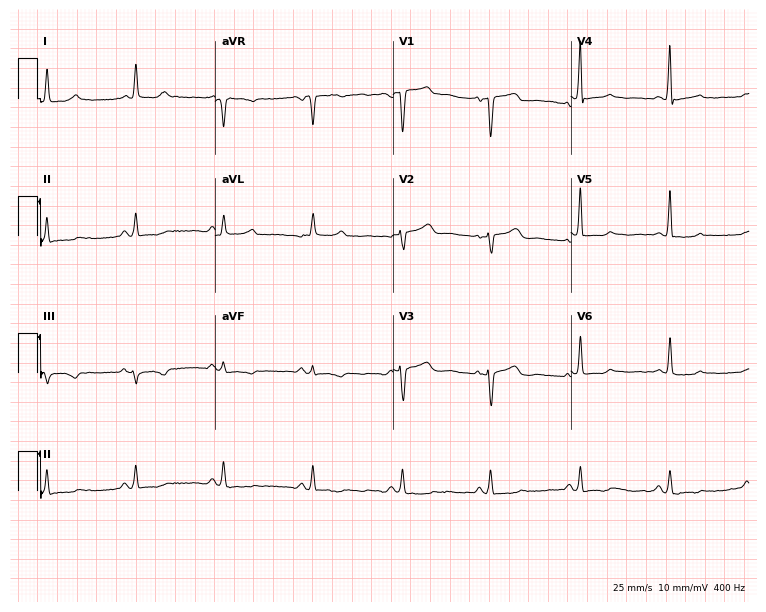
Electrocardiogram, a female, 59 years old. Of the six screened findings (first-degree AV block, right bundle branch block, left bundle branch block, sinus bradycardia, atrial fibrillation, sinus tachycardia), none is recorded. Other findings, if any, are not listed.